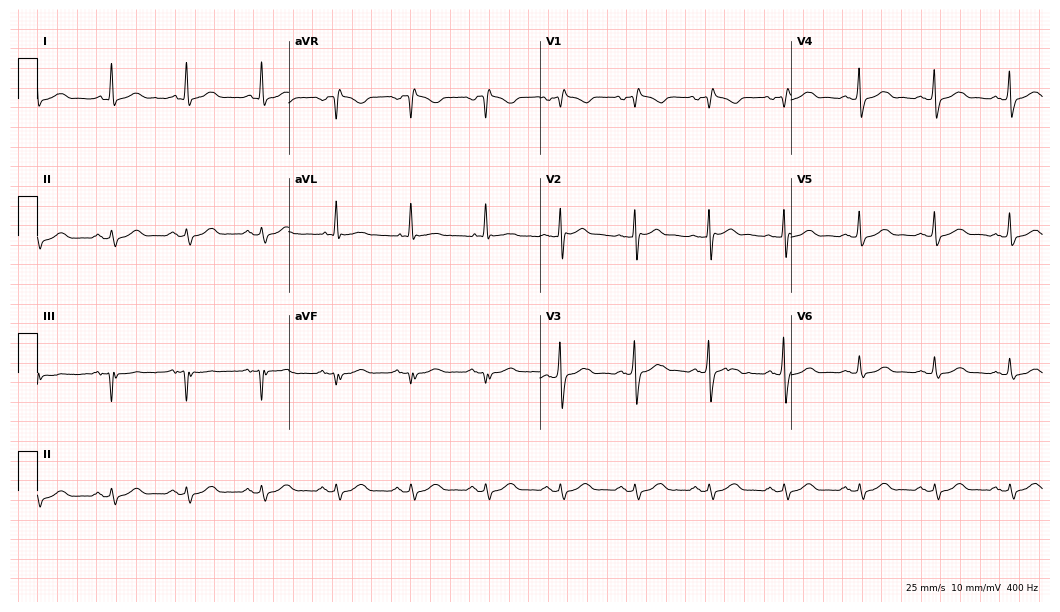
ECG — a 73-year-old male patient. Screened for six findings — first-degree AV block, right bundle branch block, left bundle branch block, sinus bradycardia, atrial fibrillation, sinus tachycardia — none is recorded. Other findings, if any, are not listed.